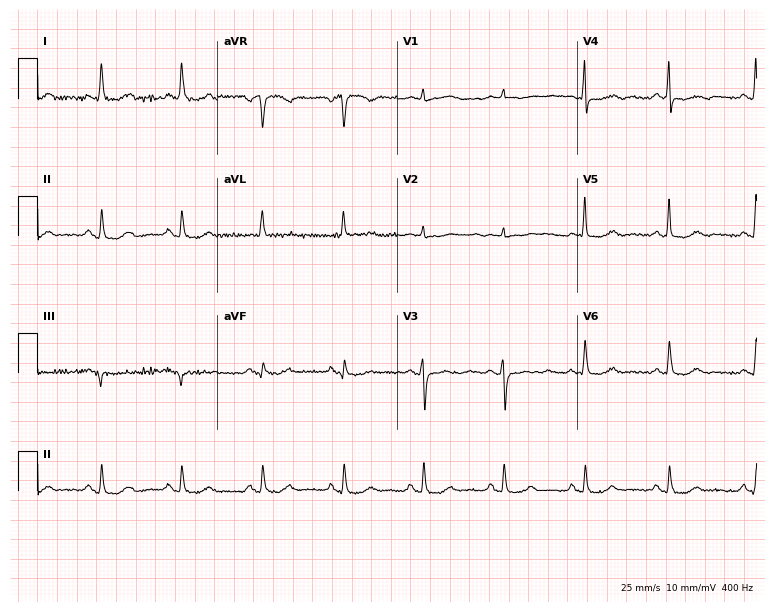
Electrocardiogram, a female, 78 years old. Of the six screened findings (first-degree AV block, right bundle branch block, left bundle branch block, sinus bradycardia, atrial fibrillation, sinus tachycardia), none is recorded.